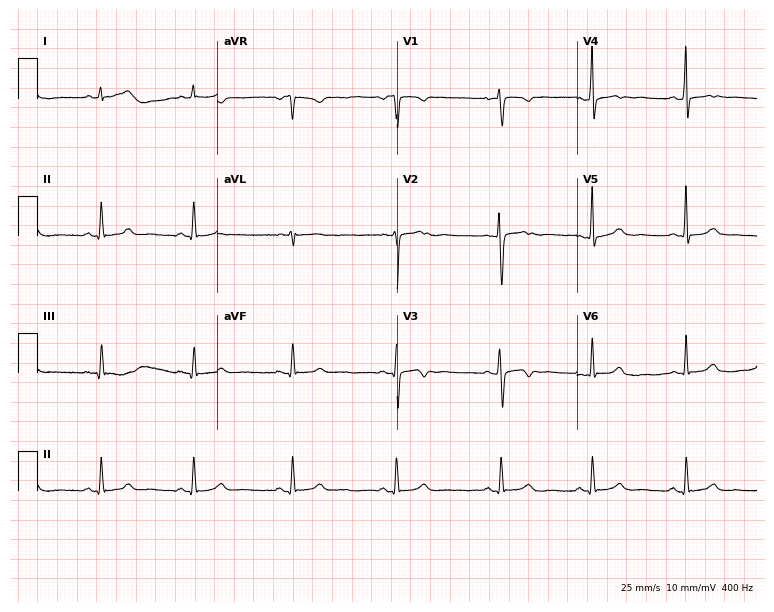
12-lead ECG from a woman, 31 years old. Labelled as a normal ECG.